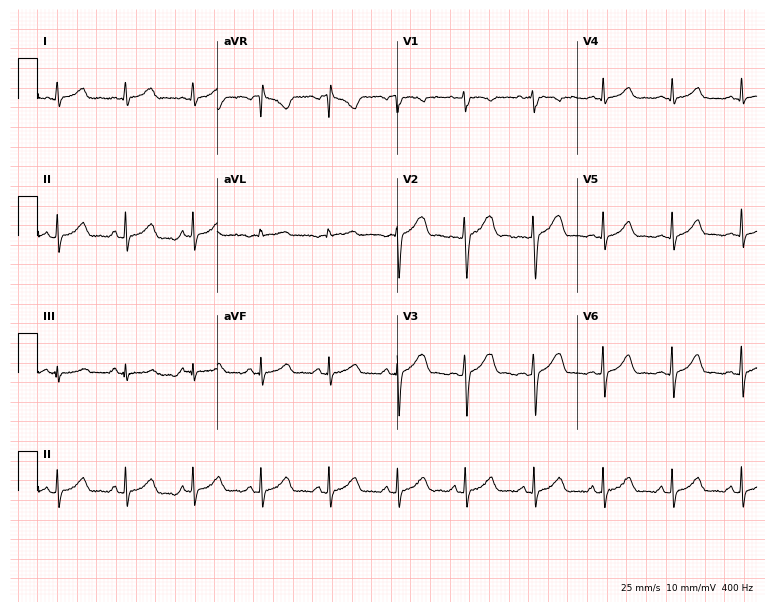
Electrocardiogram (7.3-second recording at 400 Hz), a 23-year-old woman. Overall reading on record: normal ECG.